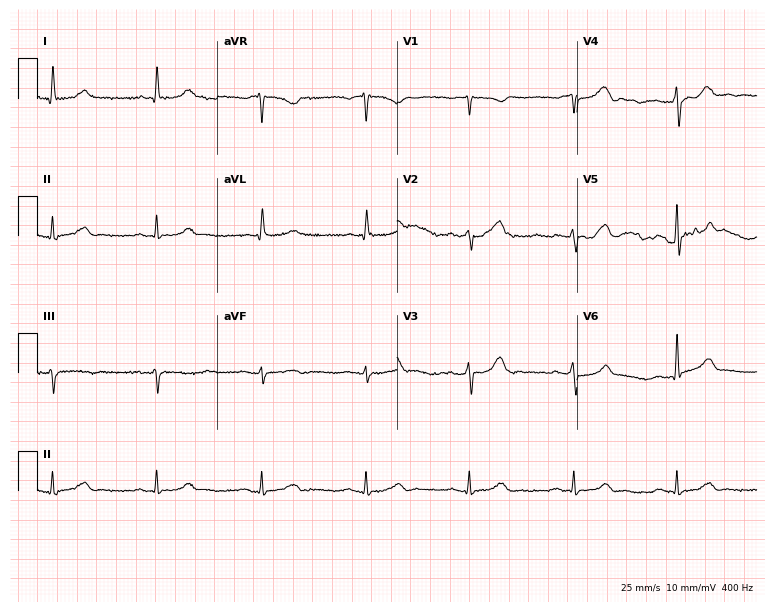
ECG — an 81-year-old male. Labelled as a normal ECG.